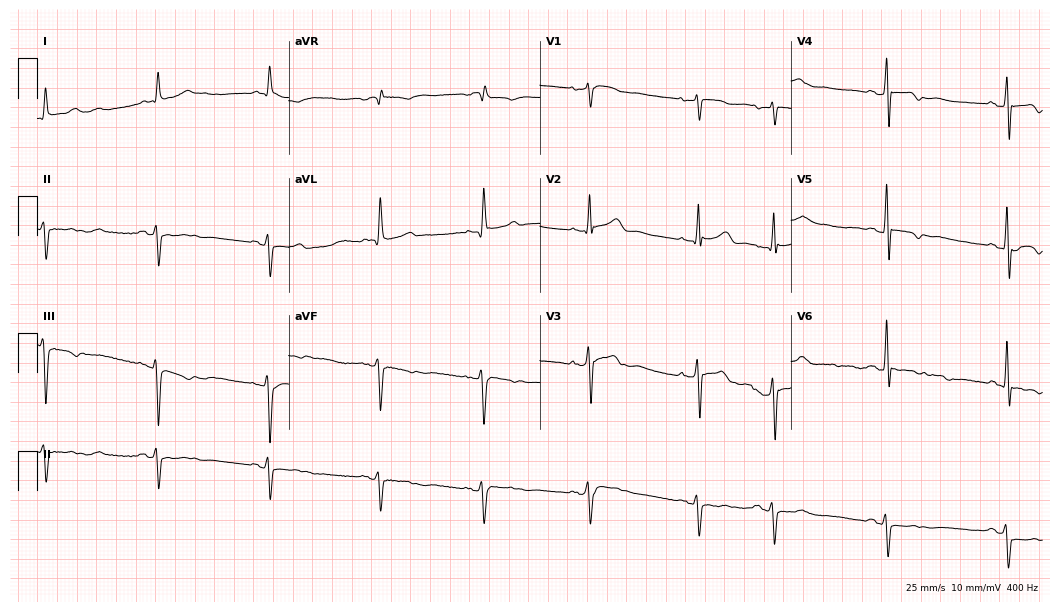
Electrocardiogram (10.2-second recording at 400 Hz), a male patient, 67 years old. Of the six screened findings (first-degree AV block, right bundle branch block, left bundle branch block, sinus bradycardia, atrial fibrillation, sinus tachycardia), none is recorded.